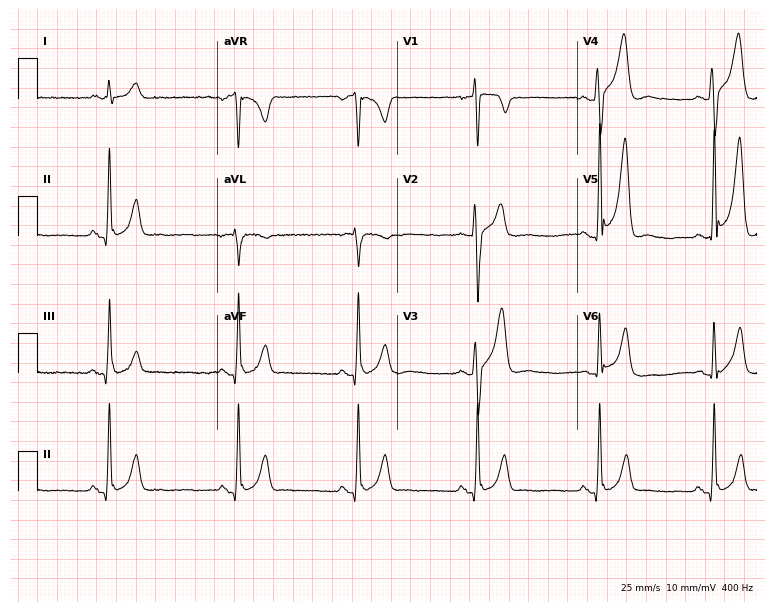
12-lead ECG from a 37-year-old man (7.3-second recording at 400 Hz). Shows sinus bradycardia (a sinus rate of 50 beats per minute or less).